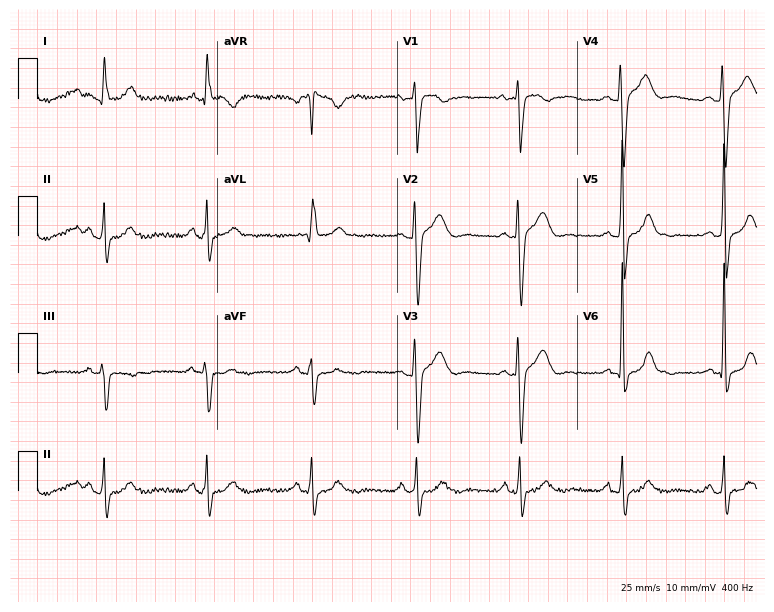
Resting 12-lead electrocardiogram (7.3-second recording at 400 Hz). Patient: a woman, 56 years old. None of these six findings is recorded: first-degree AV block, right bundle branch block, left bundle branch block, sinus bradycardia, atrial fibrillation, sinus tachycardia.